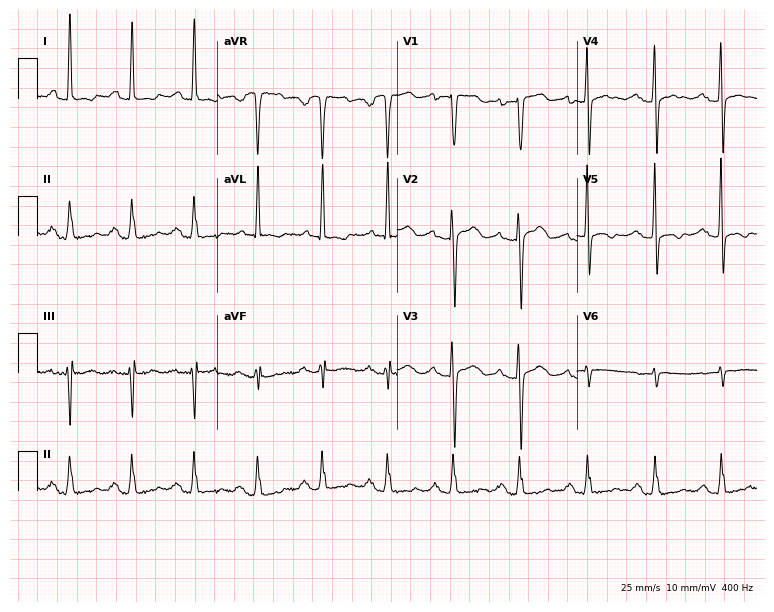
12-lead ECG from a 37-year-old female patient. No first-degree AV block, right bundle branch block, left bundle branch block, sinus bradycardia, atrial fibrillation or sinus tachycardia recorded for this tracing.